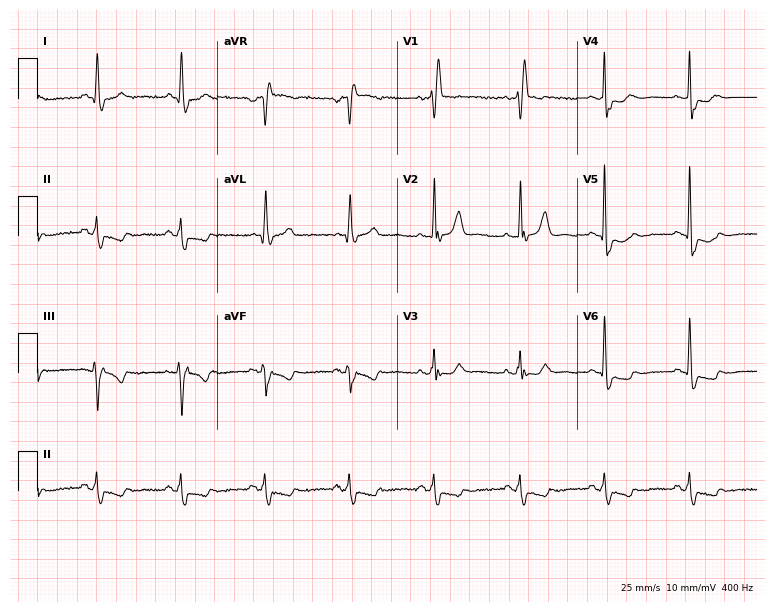
Standard 12-lead ECG recorded from a male, 63 years old. The tracing shows right bundle branch block.